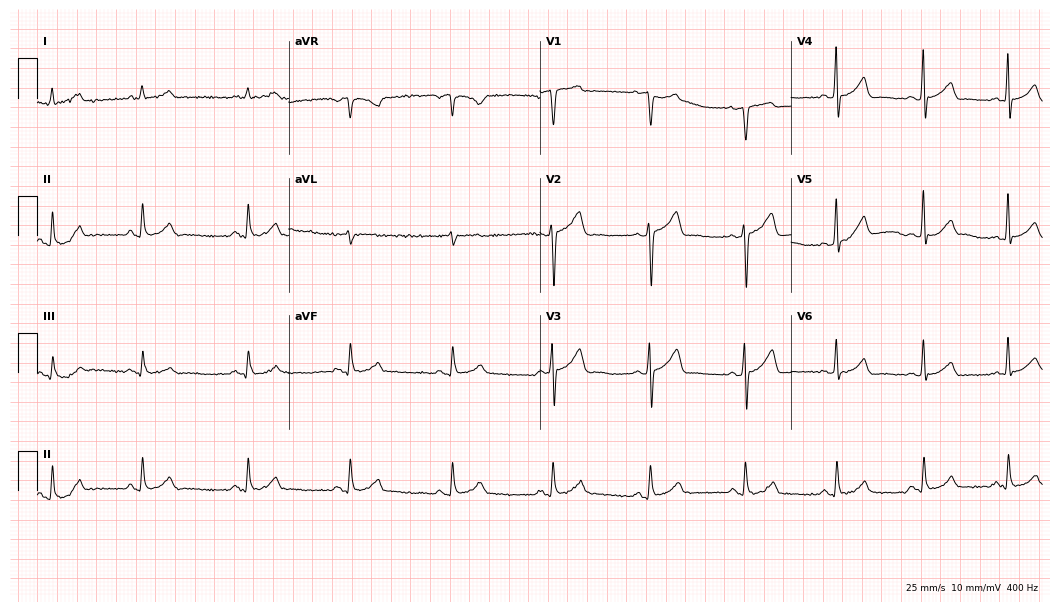
Standard 12-lead ECG recorded from a male, 54 years old. Read as a normal ECG.